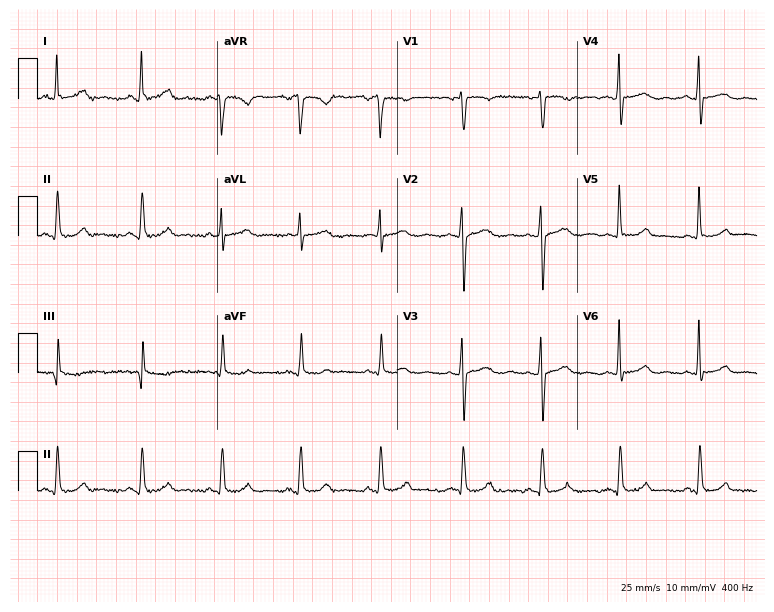
Resting 12-lead electrocardiogram (7.3-second recording at 400 Hz). Patient: a woman, 38 years old. Read as a normal ECG.